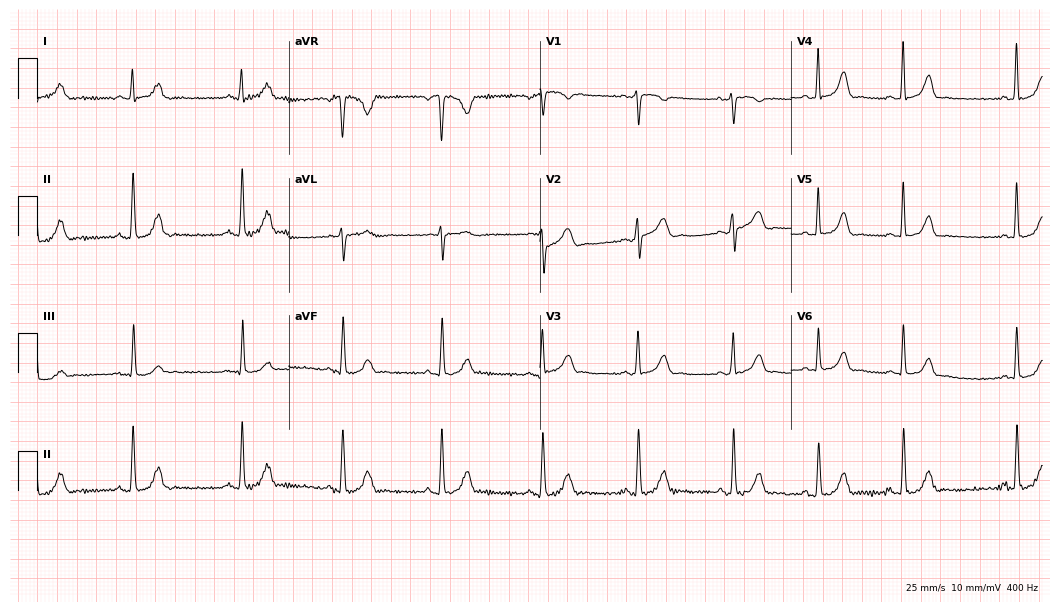
Standard 12-lead ECG recorded from a 22-year-old female (10.2-second recording at 400 Hz). Read as a normal ECG.